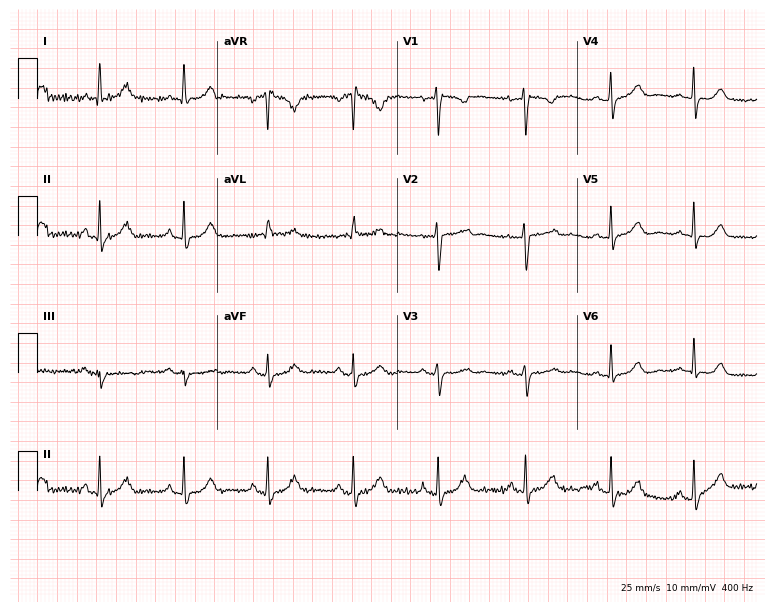
ECG — a 37-year-old female patient. Labelled as a normal ECG.